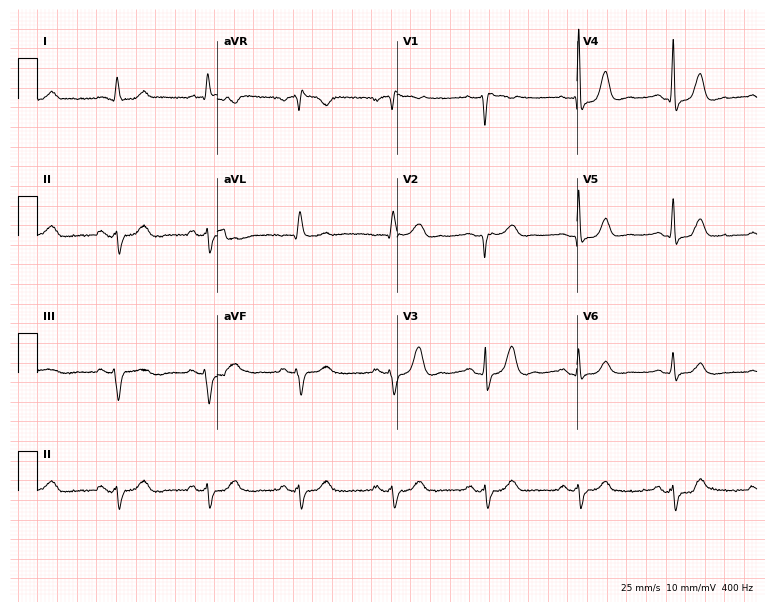
Electrocardiogram, a 77-year-old woman. Of the six screened findings (first-degree AV block, right bundle branch block, left bundle branch block, sinus bradycardia, atrial fibrillation, sinus tachycardia), none is recorded. Other findings, if any, are not listed.